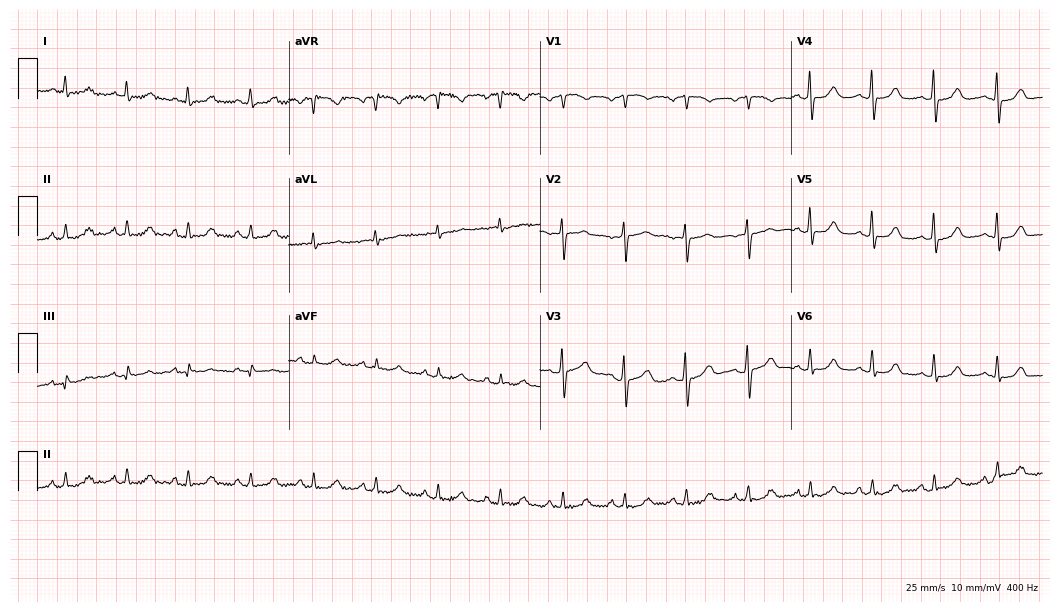
ECG (10.2-second recording at 400 Hz) — a 72-year-old woman. Labelled as a normal ECG.